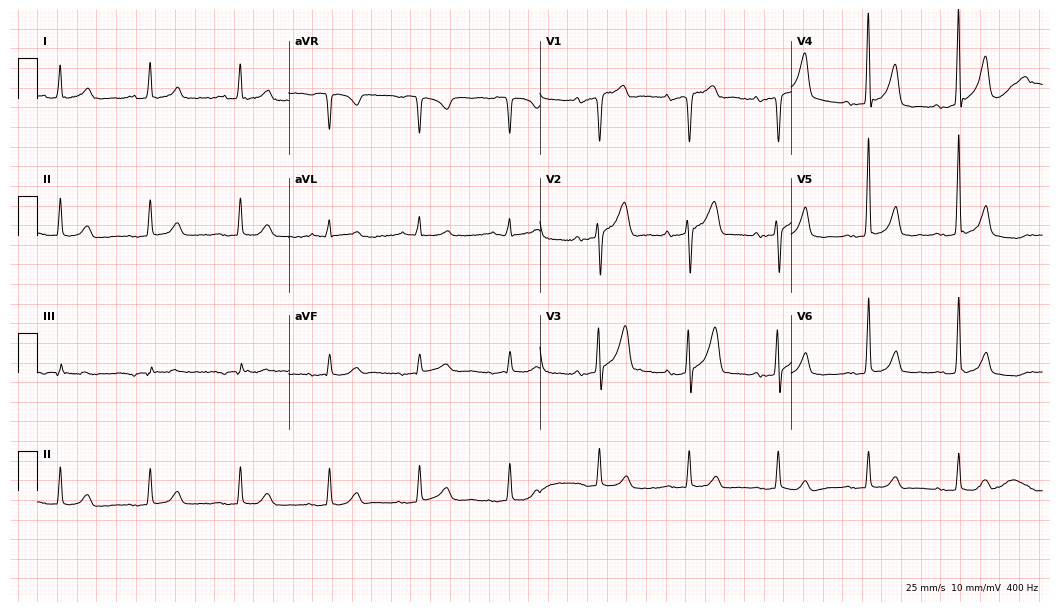
Standard 12-lead ECG recorded from a man, 85 years old (10.2-second recording at 400 Hz). Read as a normal ECG.